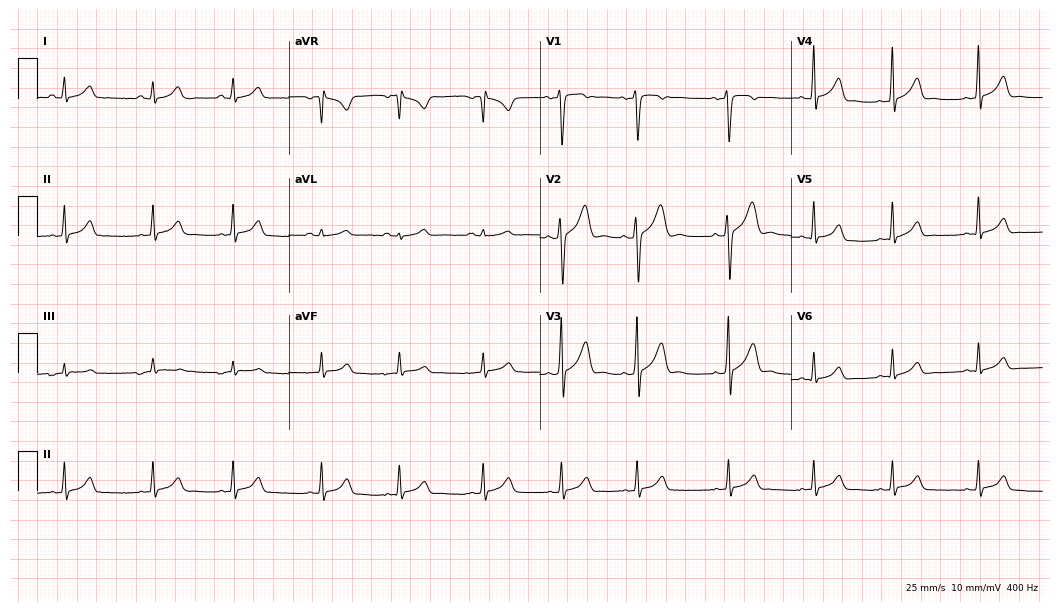
Electrocardiogram (10.2-second recording at 400 Hz), a male, 22 years old. Of the six screened findings (first-degree AV block, right bundle branch block (RBBB), left bundle branch block (LBBB), sinus bradycardia, atrial fibrillation (AF), sinus tachycardia), none is recorded. Other findings, if any, are not listed.